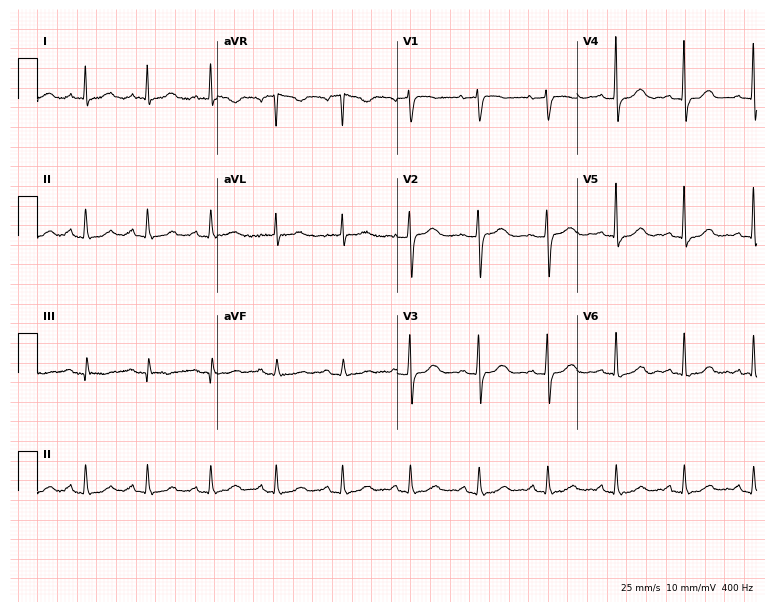
Resting 12-lead electrocardiogram. Patient: a female, 73 years old. Read as a normal ECG.